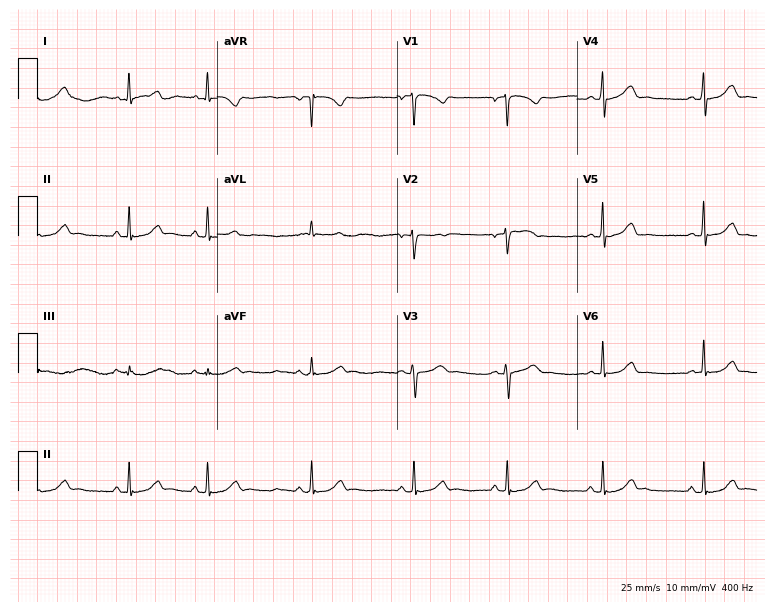
12-lead ECG (7.3-second recording at 400 Hz) from a female patient, 20 years old. Labelled as a normal ECG.